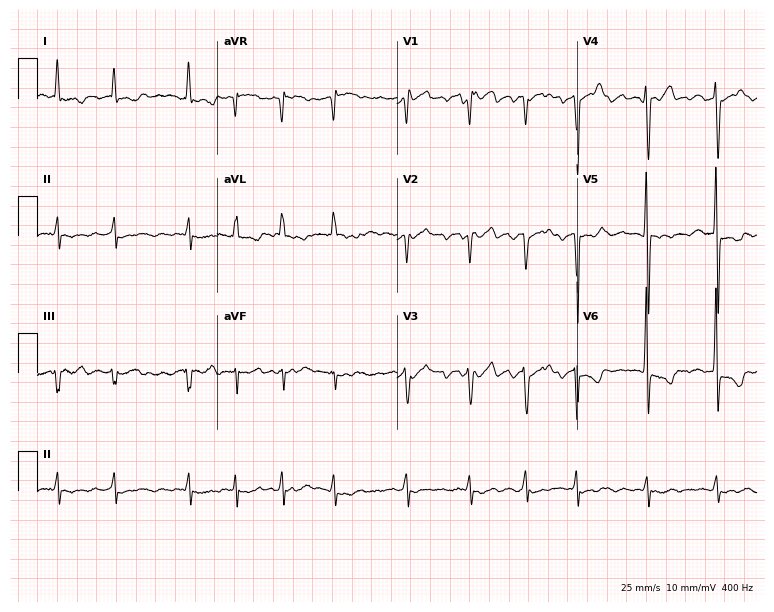
Electrocardiogram (7.3-second recording at 400 Hz), a woman, 81 years old. Interpretation includes atrial fibrillation (AF).